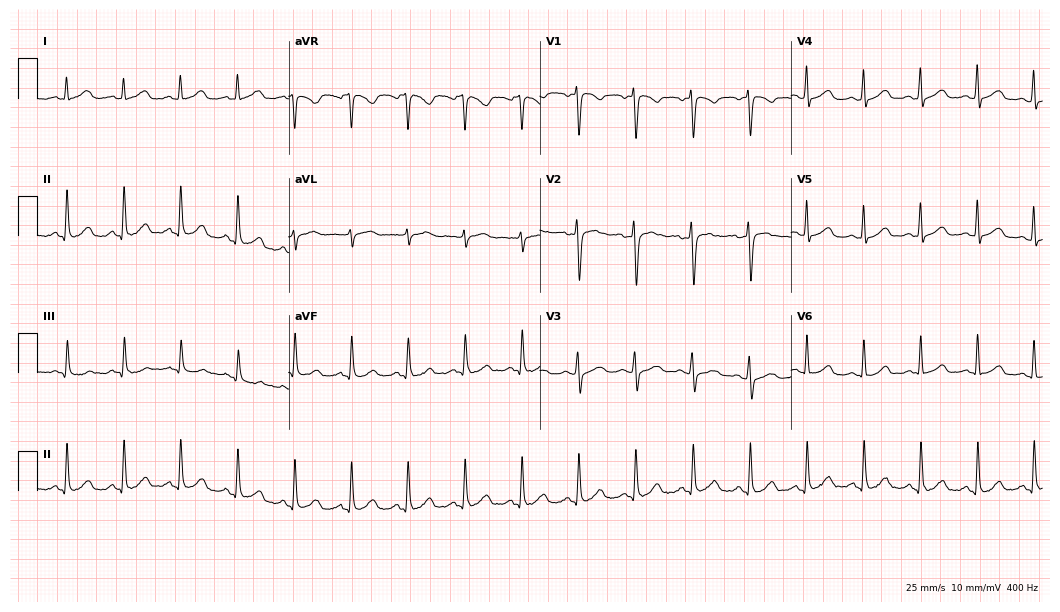
12-lead ECG (10.2-second recording at 400 Hz) from a female, 33 years old. Findings include sinus tachycardia (a sinus rate of 100 beats per minute or more).